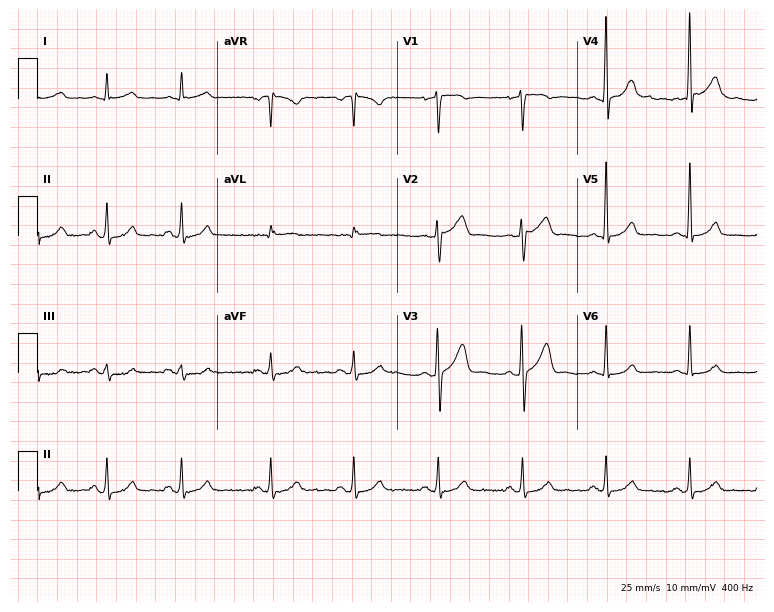
Resting 12-lead electrocardiogram. Patient: a man, 49 years old. None of these six findings is recorded: first-degree AV block, right bundle branch block, left bundle branch block, sinus bradycardia, atrial fibrillation, sinus tachycardia.